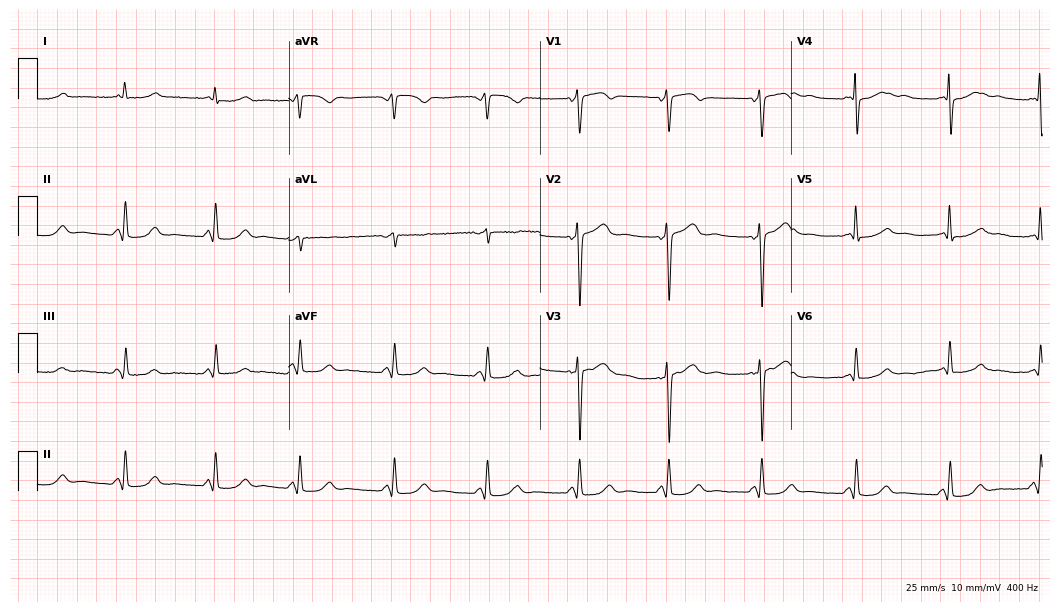
Standard 12-lead ECG recorded from a female, 48 years old. Read as a normal ECG.